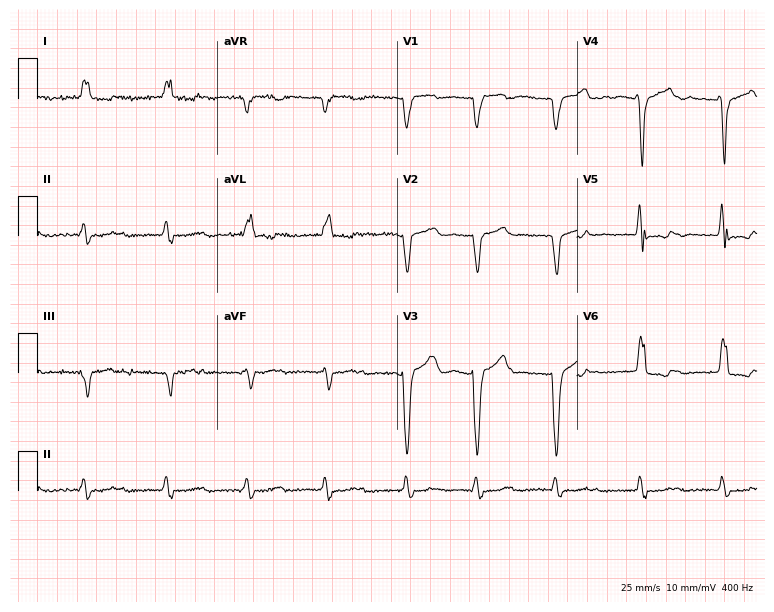
ECG (7.3-second recording at 400 Hz) — a female, 78 years old. Findings include first-degree AV block, left bundle branch block.